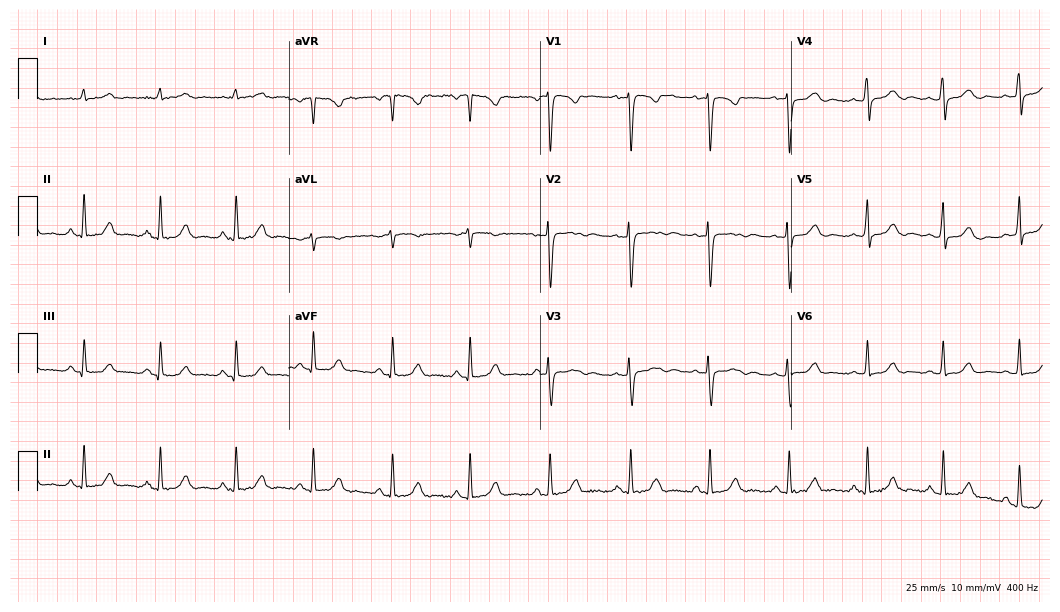
Resting 12-lead electrocardiogram. Patient: a woman, 32 years old. Read as a normal ECG.